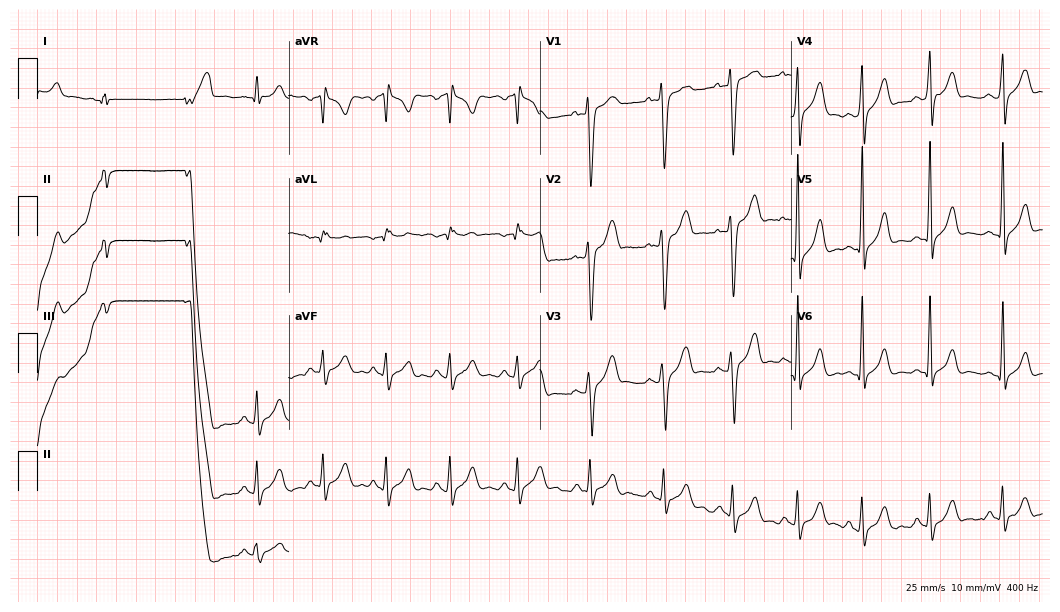
Standard 12-lead ECG recorded from a 19-year-old male (10.2-second recording at 400 Hz). None of these six findings is recorded: first-degree AV block, right bundle branch block (RBBB), left bundle branch block (LBBB), sinus bradycardia, atrial fibrillation (AF), sinus tachycardia. Findings outside these six are not listed.